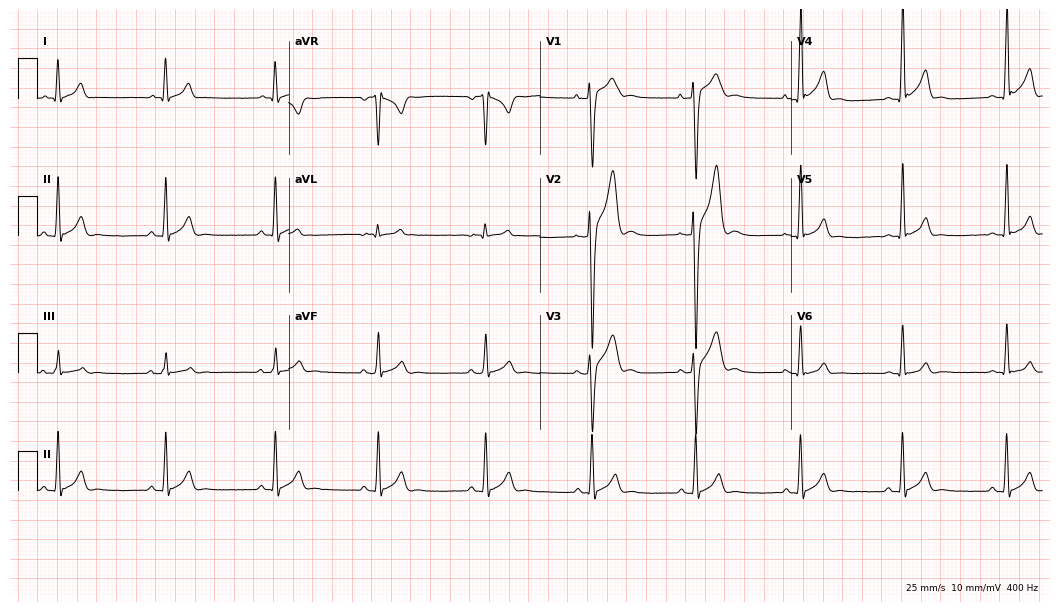
Electrocardiogram (10.2-second recording at 400 Hz), a male, 18 years old. Overall reading on record: normal ECG.